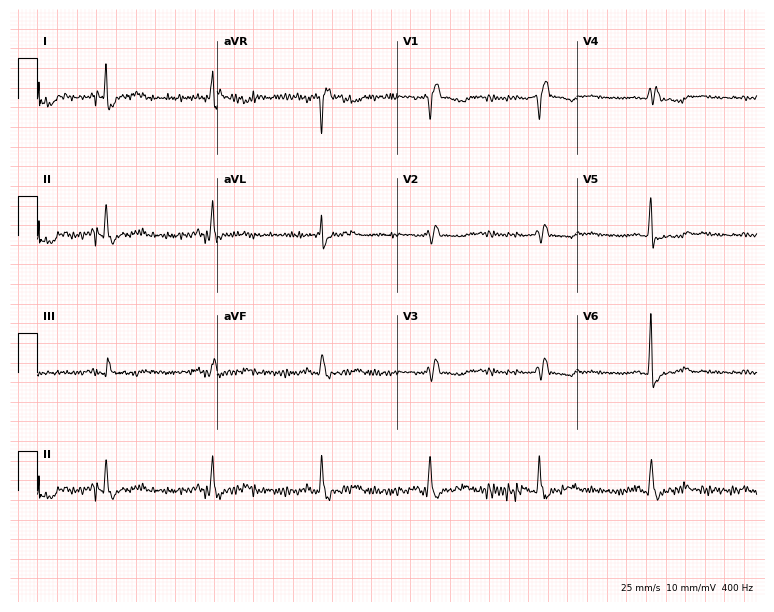
ECG — a 76-year-old female patient. Screened for six findings — first-degree AV block, right bundle branch block, left bundle branch block, sinus bradycardia, atrial fibrillation, sinus tachycardia — none is recorded.